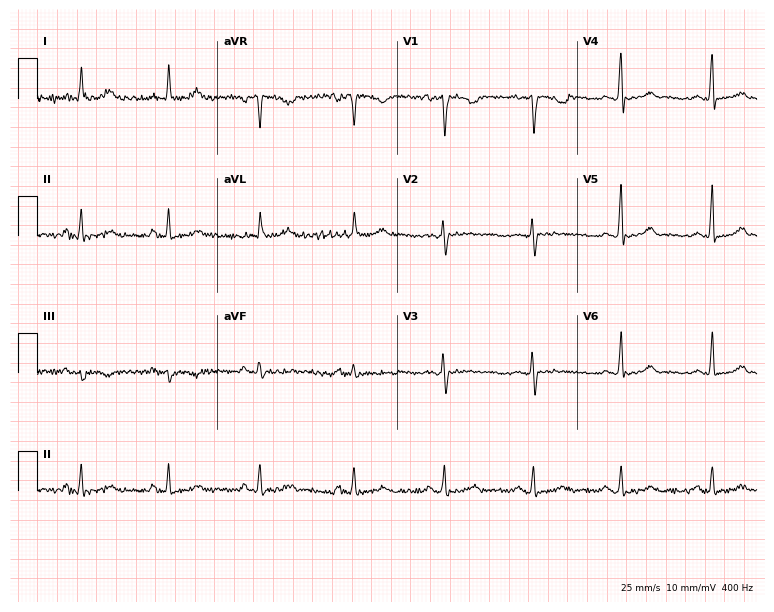
ECG — a woman, 37 years old. Screened for six findings — first-degree AV block, right bundle branch block, left bundle branch block, sinus bradycardia, atrial fibrillation, sinus tachycardia — none is recorded.